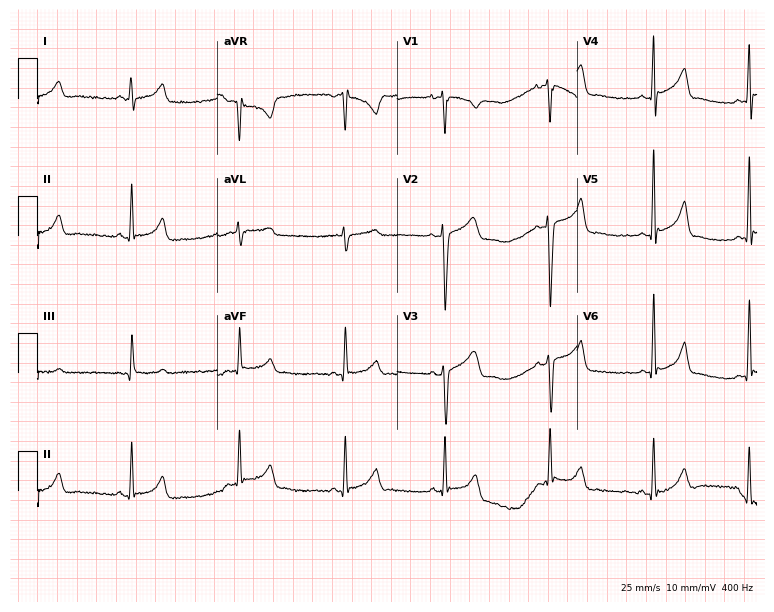
Standard 12-lead ECG recorded from a 28-year-old male (7.3-second recording at 400 Hz). None of these six findings is recorded: first-degree AV block, right bundle branch block (RBBB), left bundle branch block (LBBB), sinus bradycardia, atrial fibrillation (AF), sinus tachycardia. Findings outside these six are not listed.